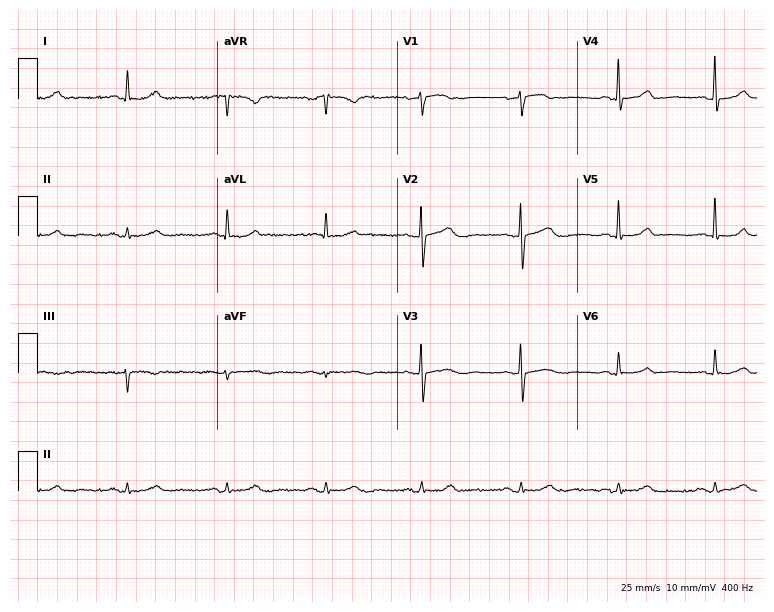
Electrocardiogram (7.3-second recording at 400 Hz), a woman, 67 years old. Overall reading on record: normal ECG.